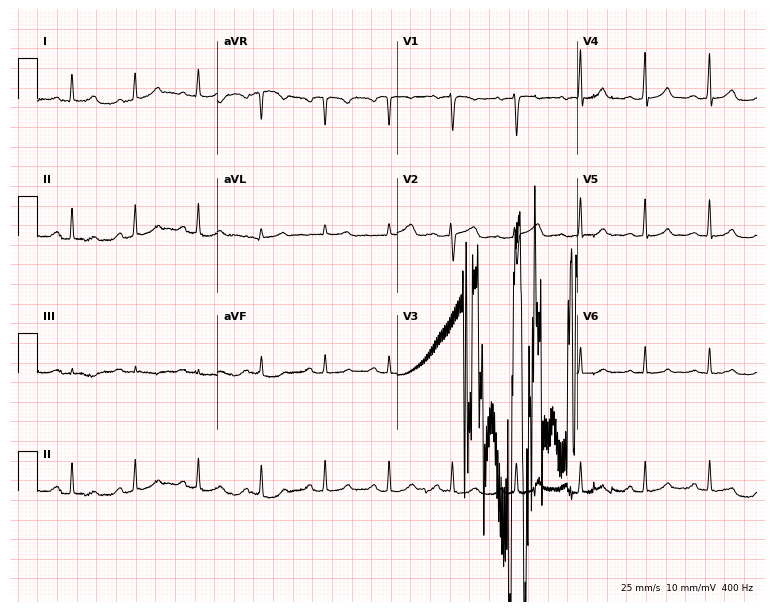
Resting 12-lead electrocardiogram (7.3-second recording at 400 Hz). Patient: a 27-year-old woman. None of these six findings is recorded: first-degree AV block, right bundle branch block, left bundle branch block, sinus bradycardia, atrial fibrillation, sinus tachycardia. Findings outside these six are not listed.